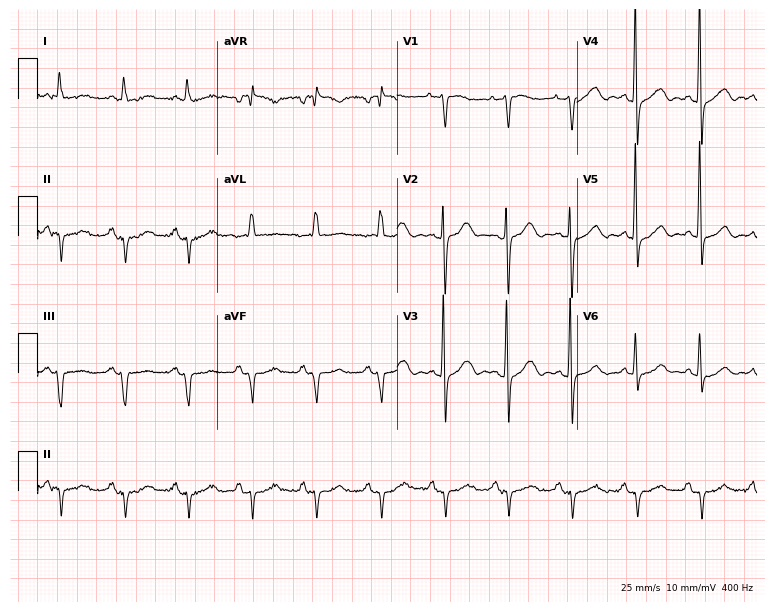
Standard 12-lead ECG recorded from an 84-year-old man (7.3-second recording at 400 Hz). None of these six findings is recorded: first-degree AV block, right bundle branch block (RBBB), left bundle branch block (LBBB), sinus bradycardia, atrial fibrillation (AF), sinus tachycardia.